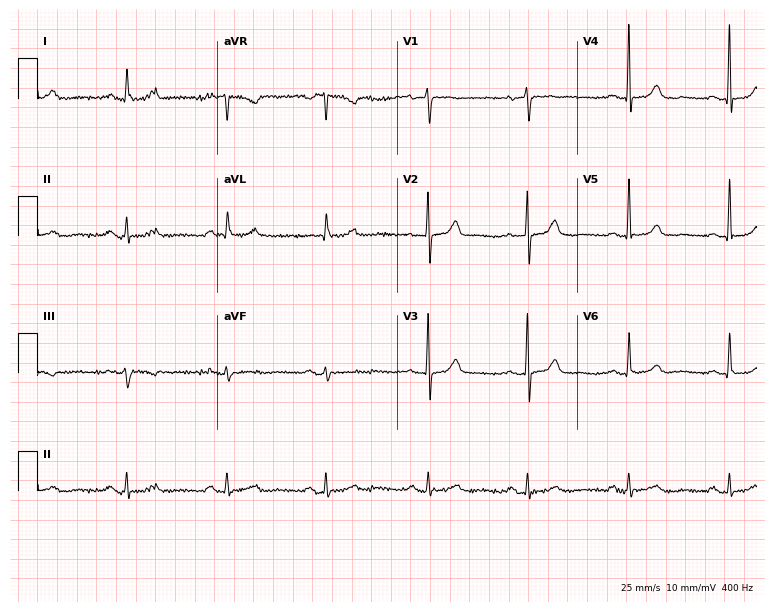
Electrocardiogram (7.3-second recording at 400 Hz), an 82-year-old female. Of the six screened findings (first-degree AV block, right bundle branch block, left bundle branch block, sinus bradycardia, atrial fibrillation, sinus tachycardia), none is recorded.